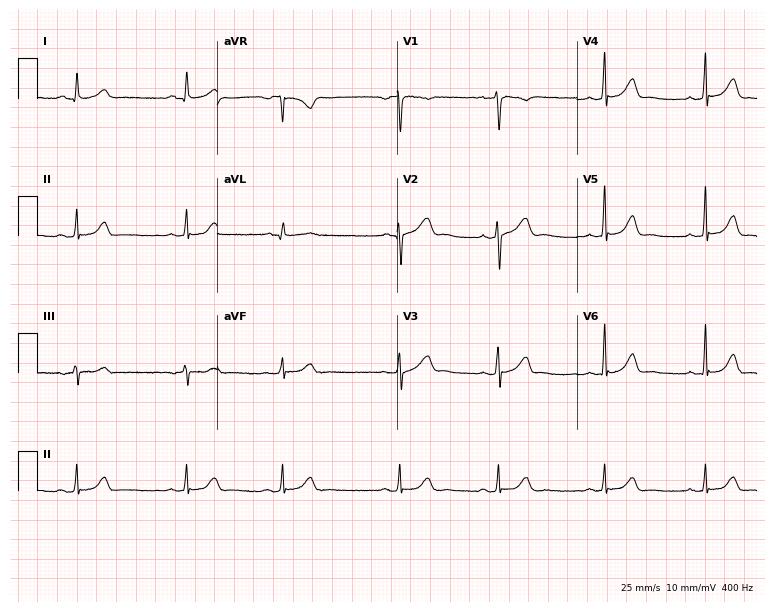
Electrocardiogram (7.3-second recording at 400 Hz), a woman, 17 years old. Overall reading on record: normal ECG.